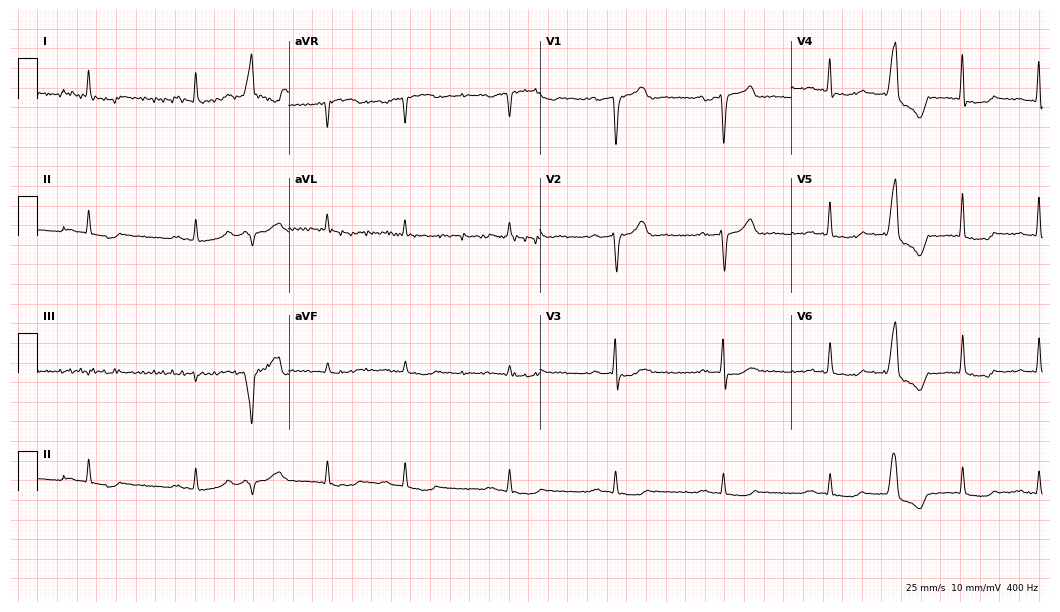
Resting 12-lead electrocardiogram. Patient: a 77-year-old male. None of these six findings is recorded: first-degree AV block, right bundle branch block (RBBB), left bundle branch block (LBBB), sinus bradycardia, atrial fibrillation (AF), sinus tachycardia.